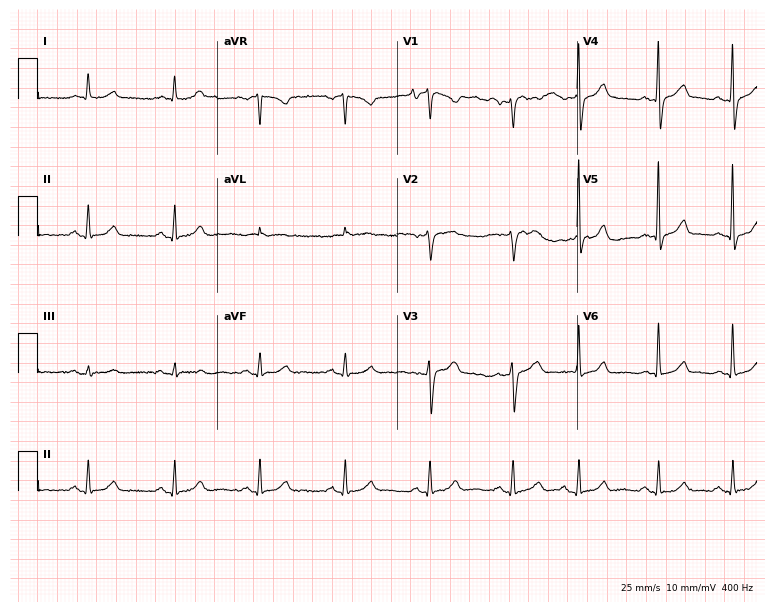
12-lead ECG from a male patient, 79 years old. Labelled as a normal ECG.